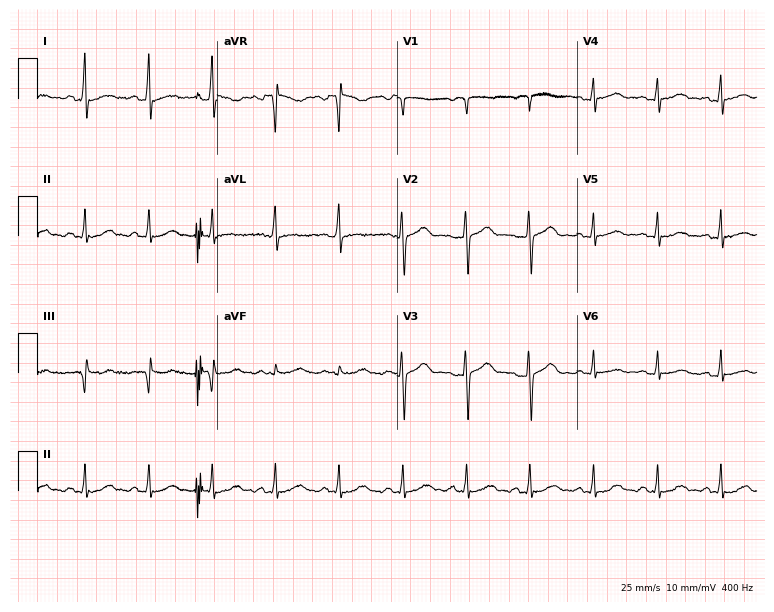
12-lead ECG from a 38-year-old woman (7.3-second recording at 400 Hz). Recorded interpretation: within normal limits.